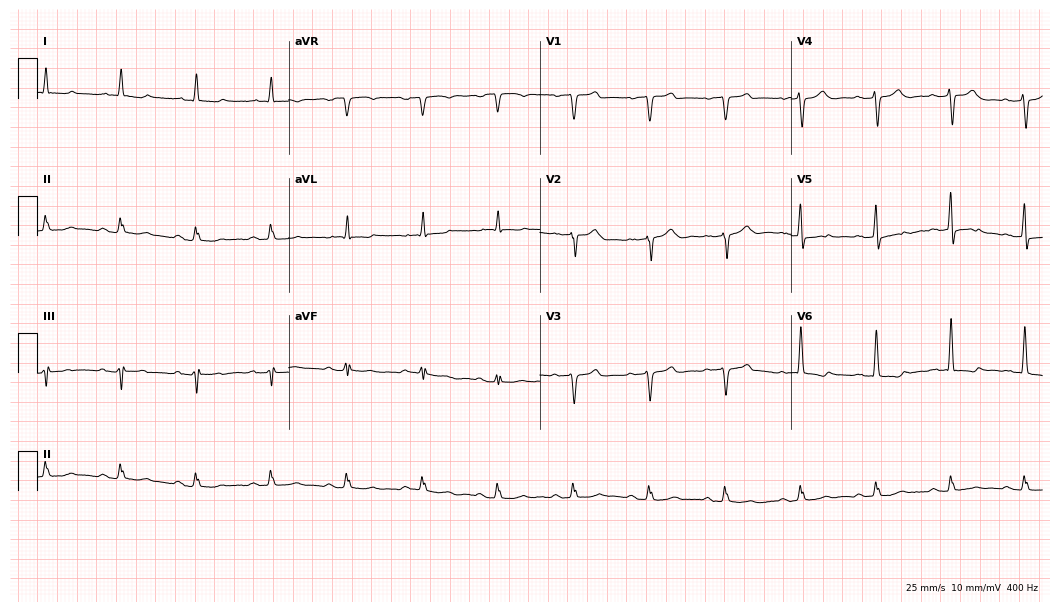
12-lead ECG (10.2-second recording at 400 Hz) from a male, 79 years old. Screened for six findings — first-degree AV block, right bundle branch block, left bundle branch block, sinus bradycardia, atrial fibrillation, sinus tachycardia — none is recorded. Findings outside these six are not listed.